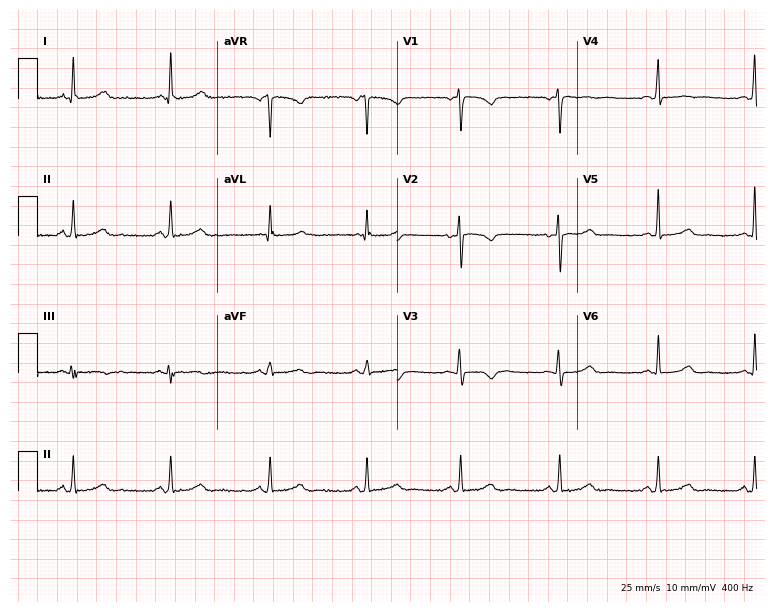
Resting 12-lead electrocardiogram. Patient: a female, 34 years old. Read as a normal ECG.